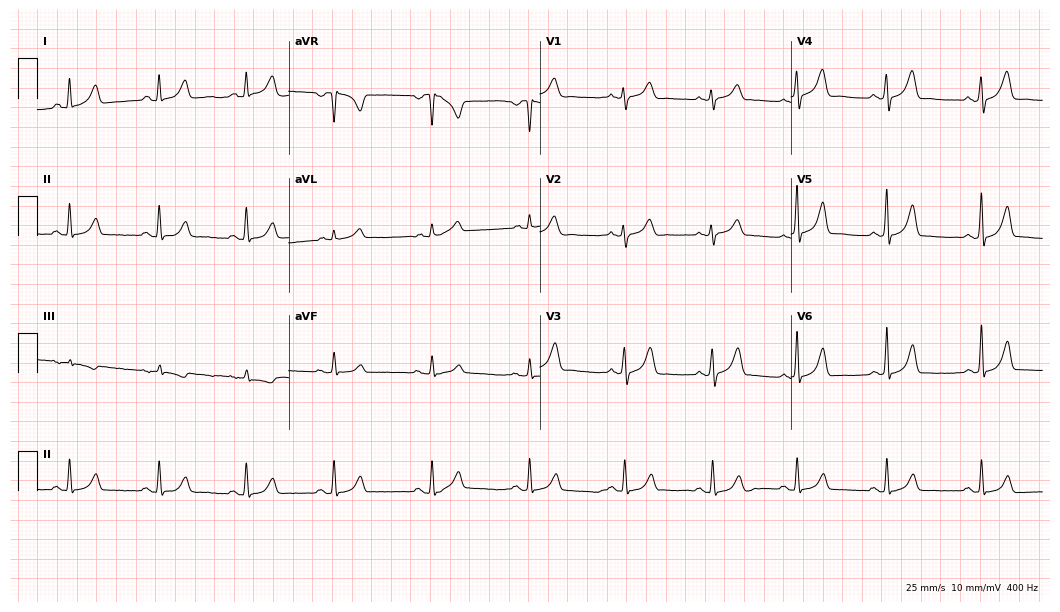
ECG — a female patient, 41 years old. Screened for six findings — first-degree AV block, right bundle branch block, left bundle branch block, sinus bradycardia, atrial fibrillation, sinus tachycardia — none is recorded.